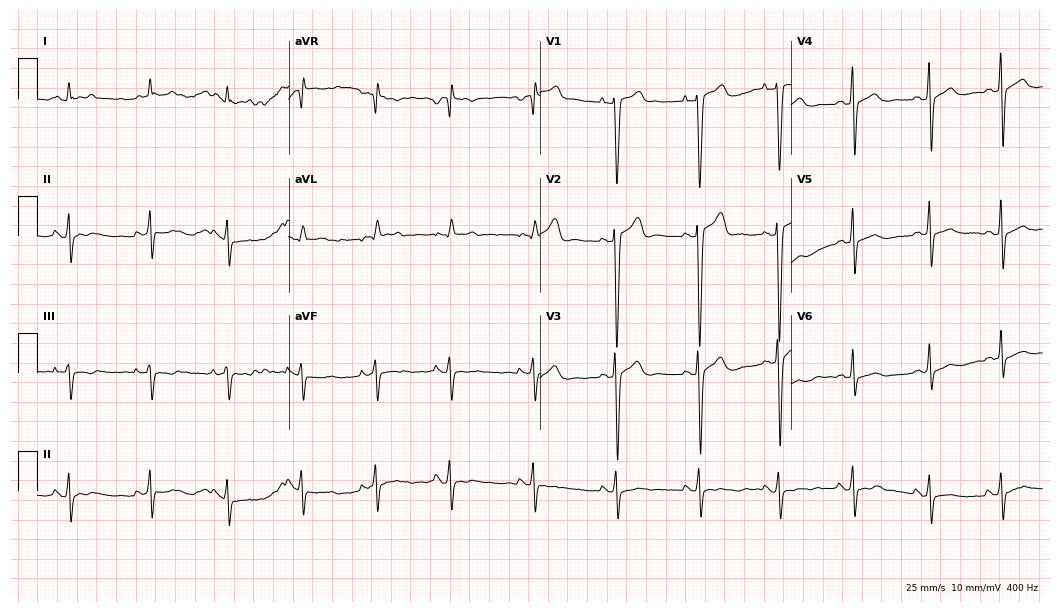
12-lead ECG from an 18-year-old male. No first-degree AV block, right bundle branch block (RBBB), left bundle branch block (LBBB), sinus bradycardia, atrial fibrillation (AF) or sinus tachycardia recorded for this tracing. Only these six findings were labelled.